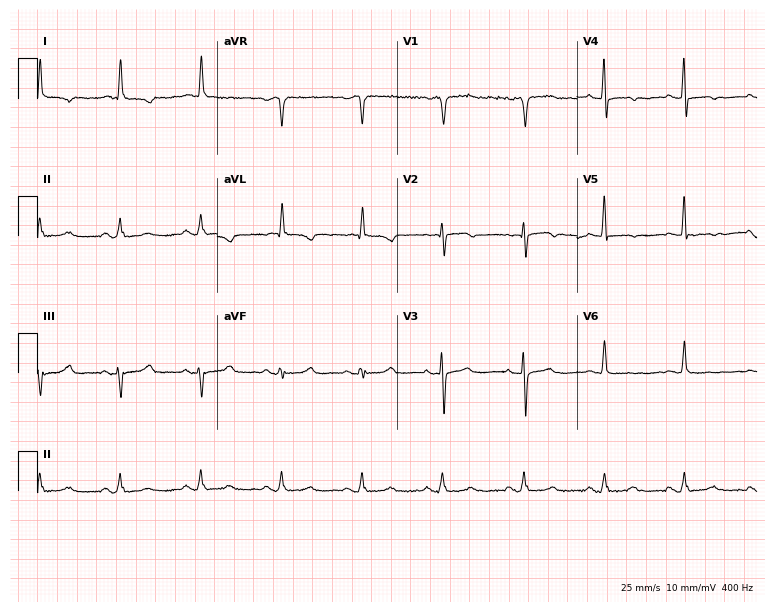
12-lead ECG from a female, 74 years old (7.3-second recording at 400 Hz). No first-degree AV block, right bundle branch block, left bundle branch block, sinus bradycardia, atrial fibrillation or sinus tachycardia recorded for this tracing.